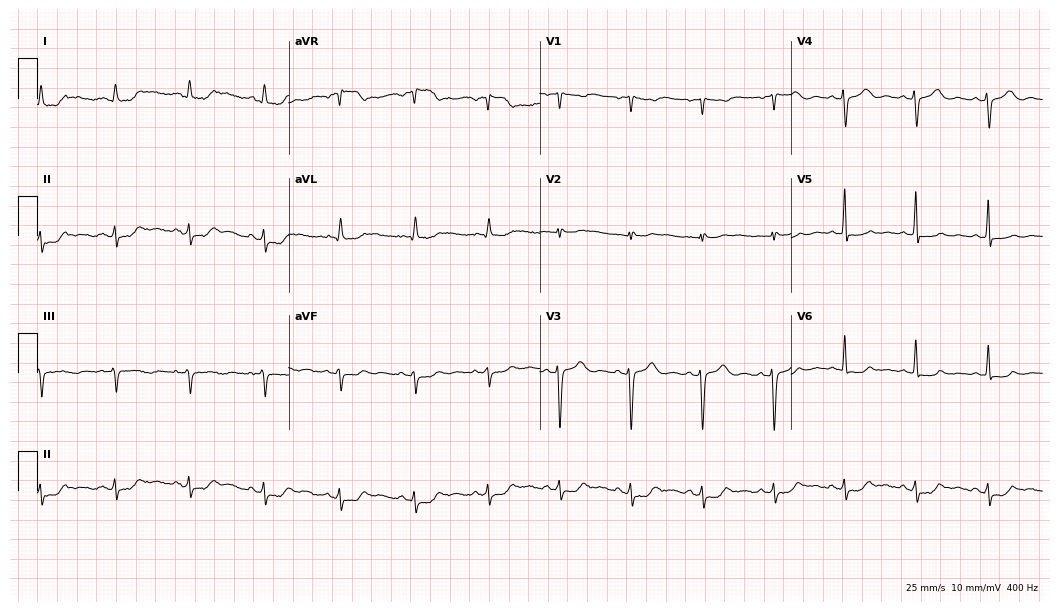
Standard 12-lead ECG recorded from a 48-year-old female. None of these six findings is recorded: first-degree AV block, right bundle branch block (RBBB), left bundle branch block (LBBB), sinus bradycardia, atrial fibrillation (AF), sinus tachycardia. Only these six findings were labelled.